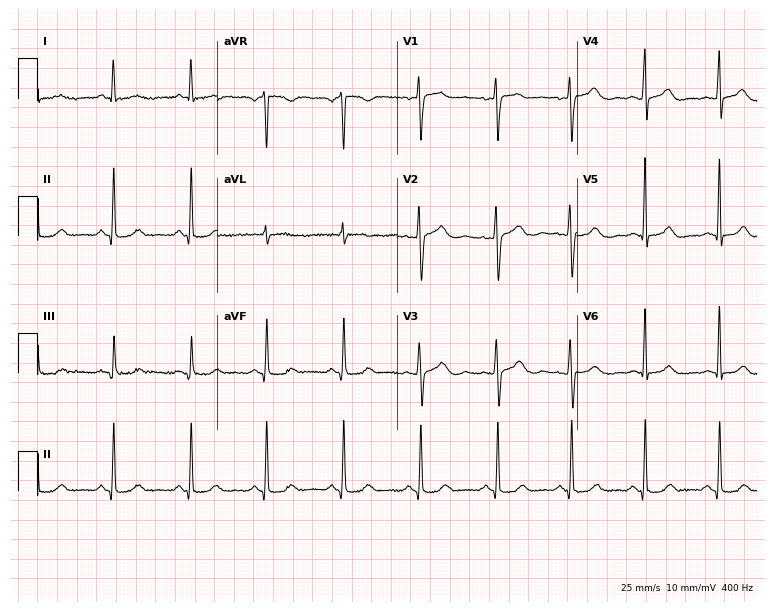
ECG — a 50-year-old woman. Labelled as a normal ECG.